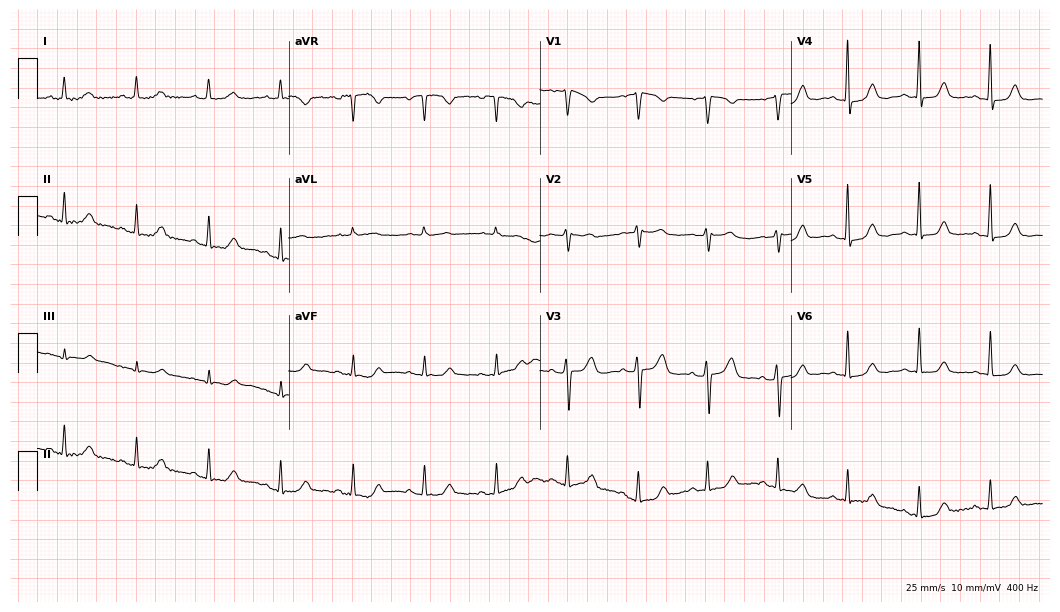
12-lead ECG from a female patient, 80 years old. Labelled as a normal ECG.